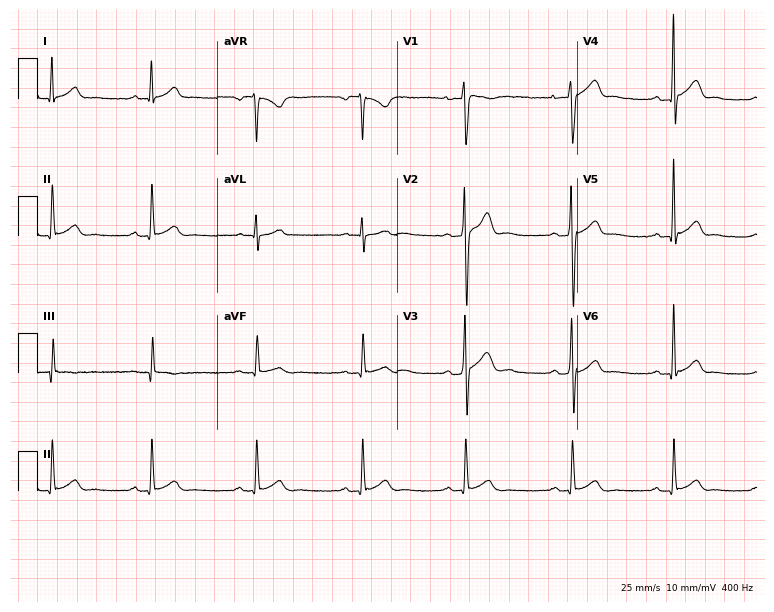
Electrocardiogram, a 28-year-old male patient. Overall reading on record: normal ECG.